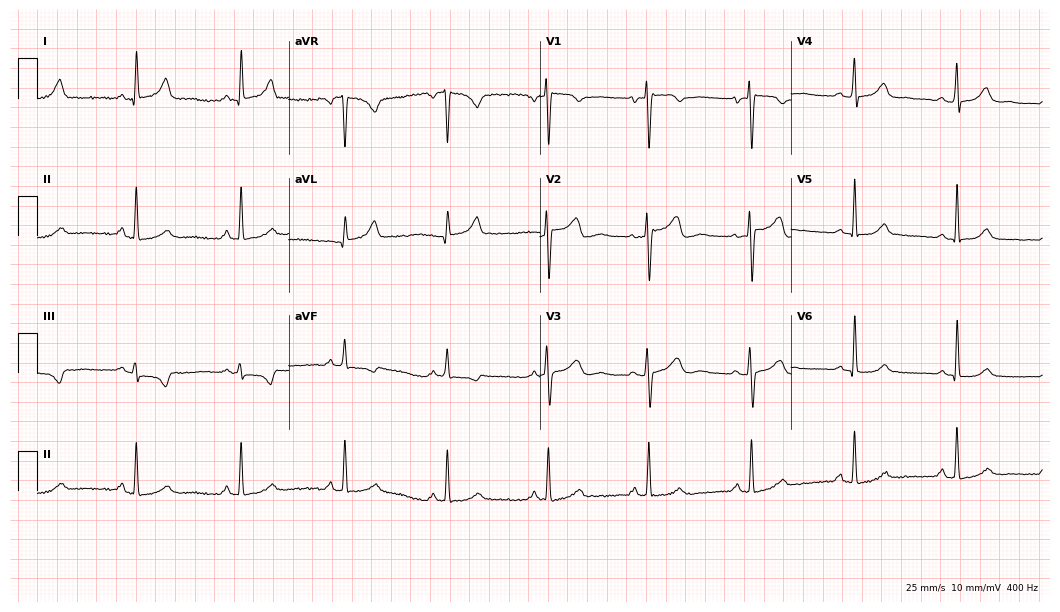
Standard 12-lead ECG recorded from a woman, 52 years old. Read as a normal ECG.